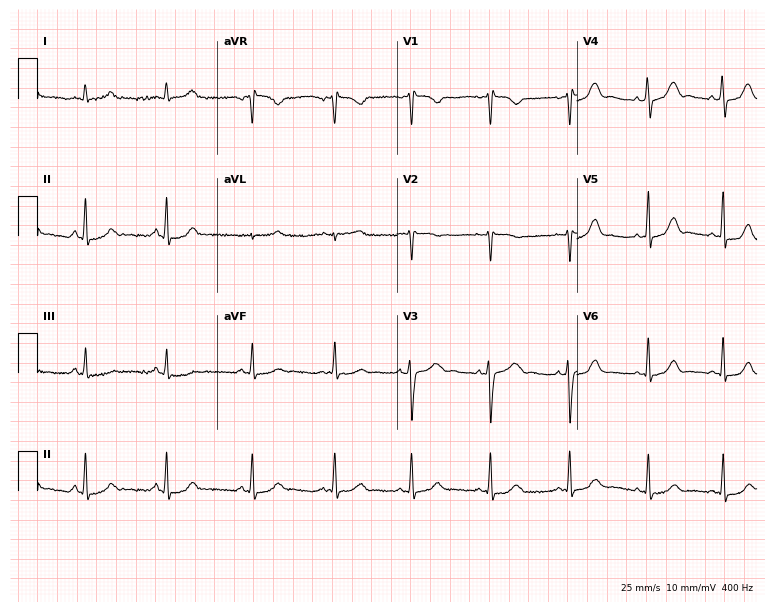
12-lead ECG (7.3-second recording at 400 Hz) from a female, 31 years old. Labelled as a normal ECG.